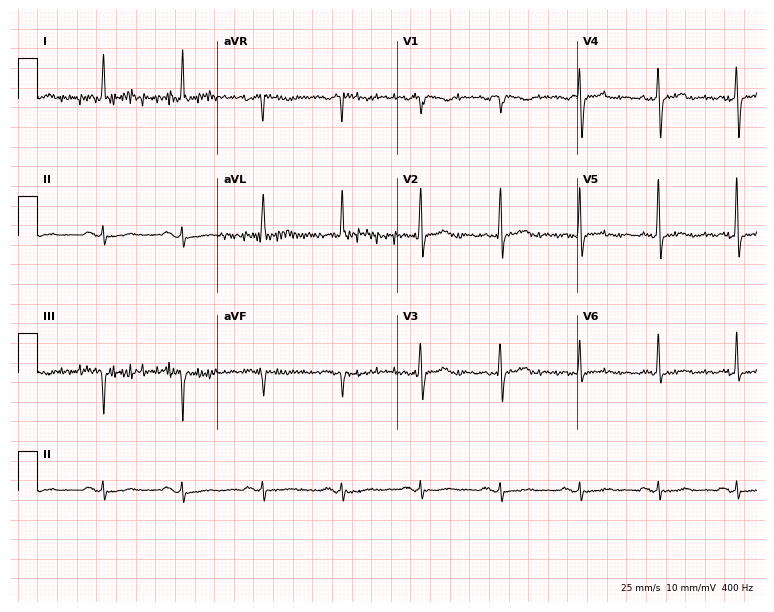
Standard 12-lead ECG recorded from a 77-year-old female. None of these six findings is recorded: first-degree AV block, right bundle branch block (RBBB), left bundle branch block (LBBB), sinus bradycardia, atrial fibrillation (AF), sinus tachycardia.